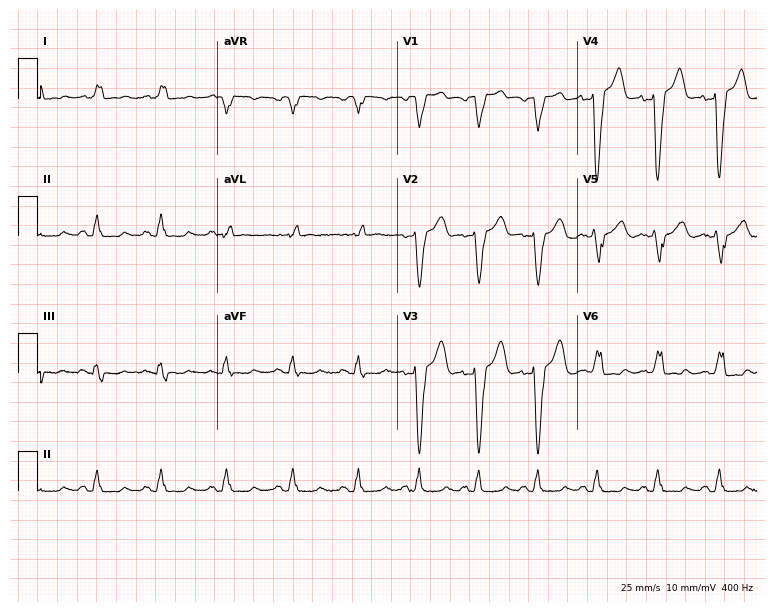
Resting 12-lead electrocardiogram. Patient: a 71-year-old male. The tracing shows left bundle branch block.